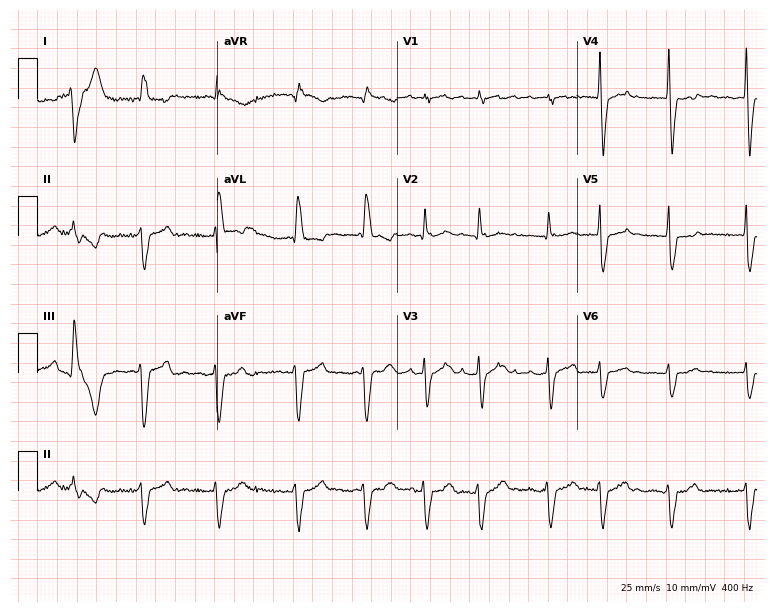
Resting 12-lead electrocardiogram (7.3-second recording at 400 Hz). Patient: a female, 85 years old. The tracing shows atrial fibrillation (AF).